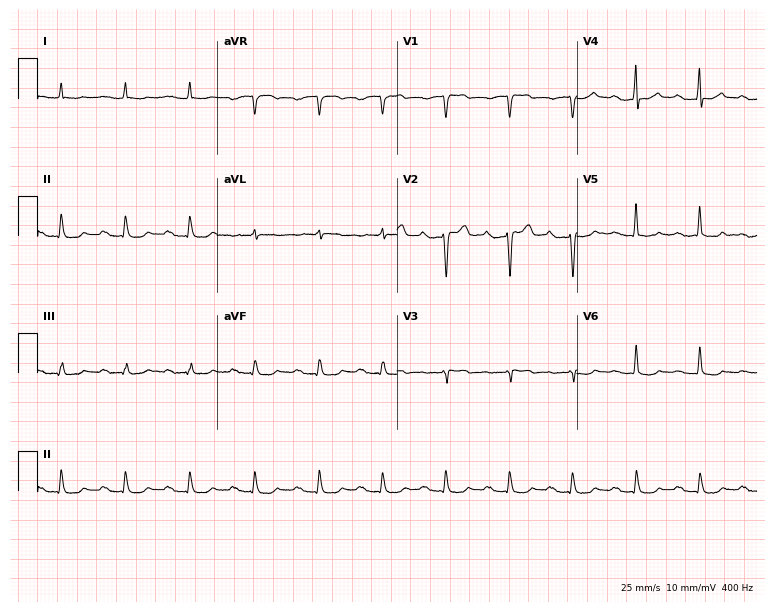
12-lead ECG from a man, 63 years old (7.3-second recording at 400 Hz). Shows first-degree AV block.